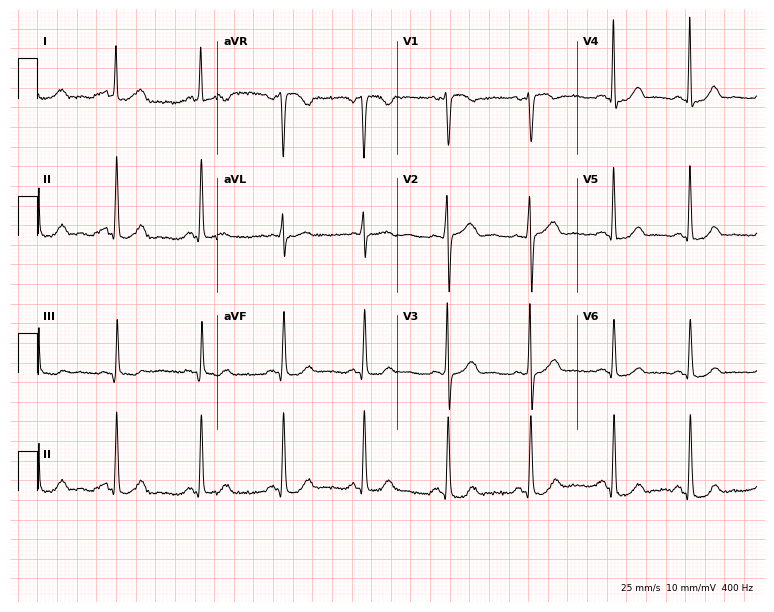
Resting 12-lead electrocardiogram (7.3-second recording at 400 Hz). Patient: a female, 44 years old. Read as a normal ECG.